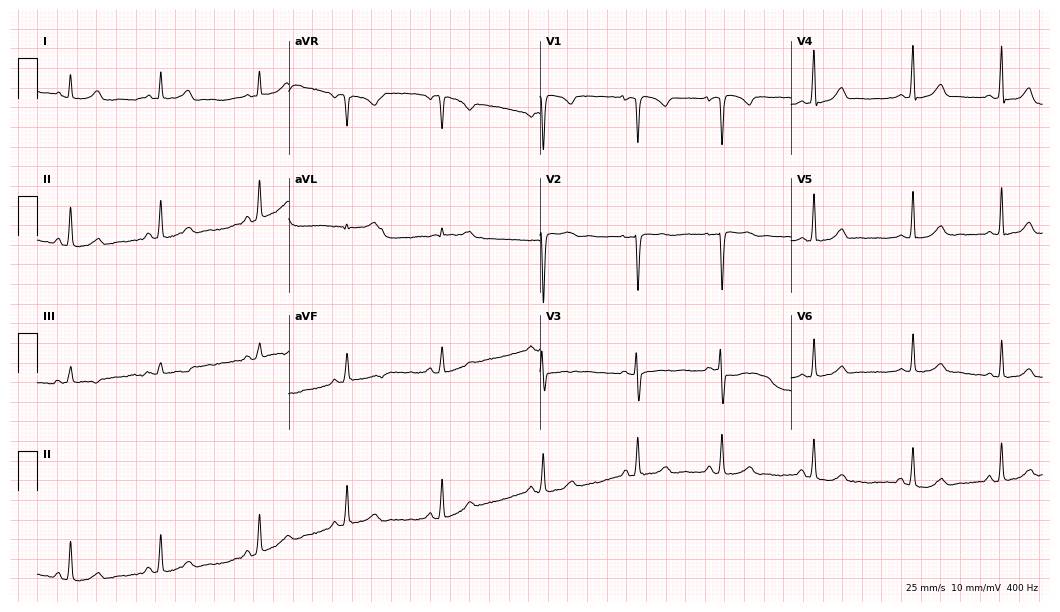
12-lead ECG from a female patient, 17 years old. No first-degree AV block, right bundle branch block, left bundle branch block, sinus bradycardia, atrial fibrillation or sinus tachycardia recorded for this tracing. Findings outside these six are not listed.